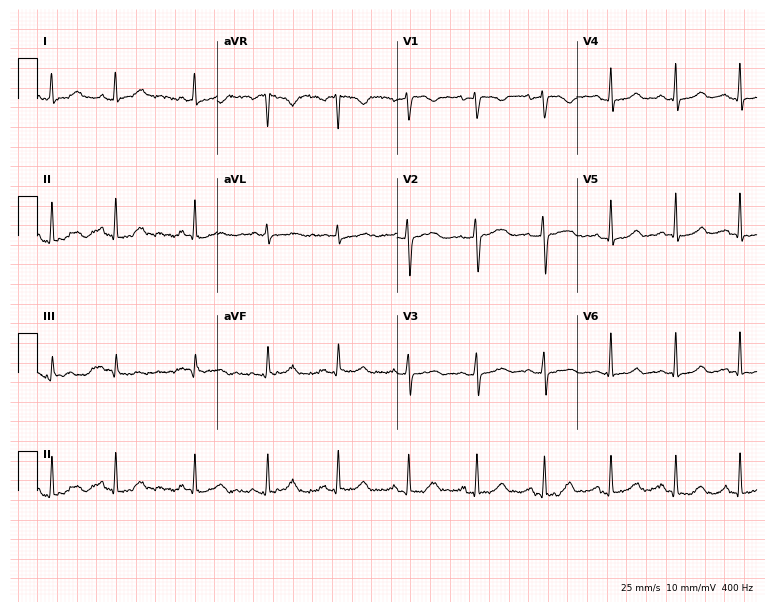
Standard 12-lead ECG recorded from a woman, 58 years old (7.3-second recording at 400 Hz). None of these six findings is recorded: first-degree AV block, right bundle branch block, left bundle branch block, sinus bradycardia, atrial fibrillation, sinus tachycardia. Findings outside these six are not listed.